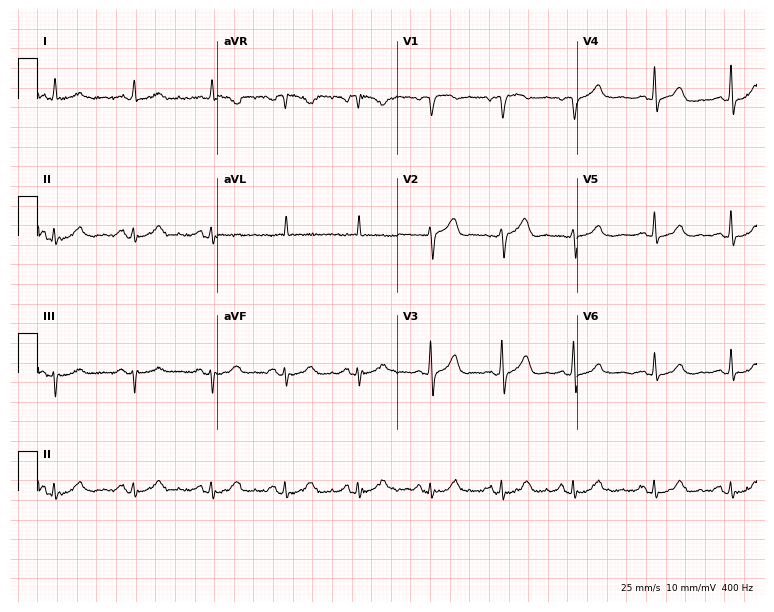
Standard 12-lead ECG recorded from a 68-year-old female patient (7.3-second recording at 400 Hz). Read as a normal ECG.